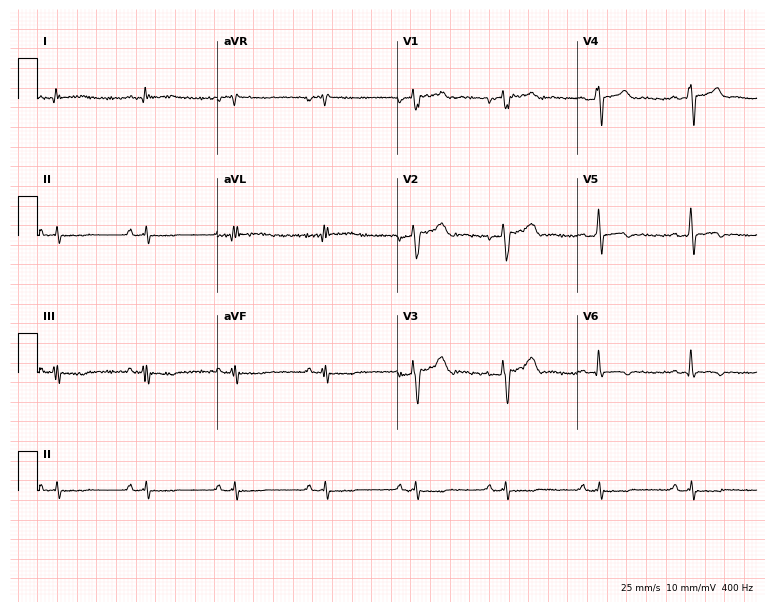
Standard 12-lead ECG recorded from a 50-year-old man. None of these six findings is recorded: first-degree AV block, right bundle branch block, left bundle branch block, sinus bradycardia, atrial fibrillation, sinus tachycardia. Only these six findings were labelled.